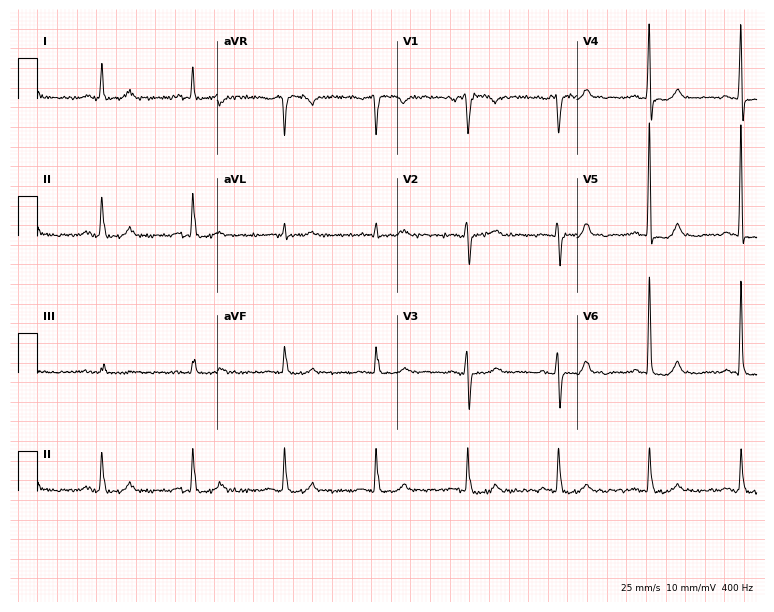
12-lead ECG from a male, 66 years old. No first-degree AV block, right bundle branch block, left bundle branch block, sinus bradycardia, atrial fibrillation or sinus tachycardia recorded for this tracing. Only these six findings were labelled.